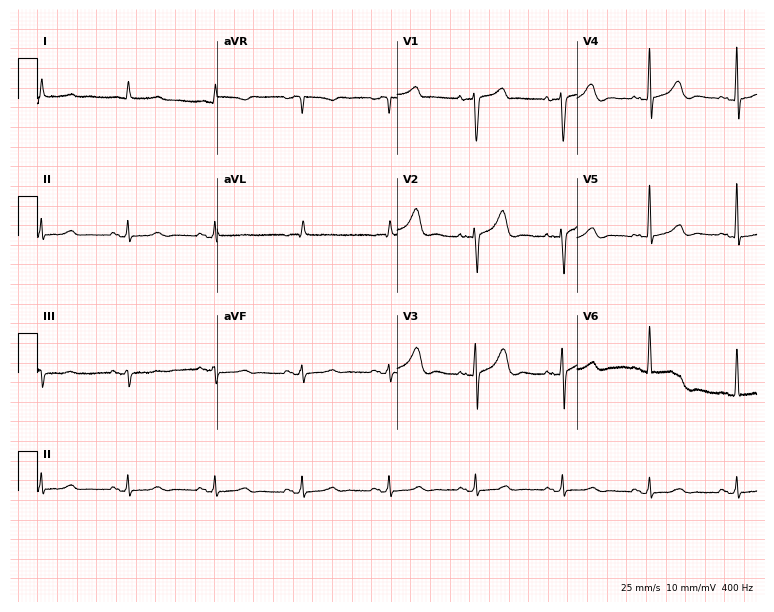
12-lead ECG from a 74-year-old male patient. Labelled as a normal ECG.